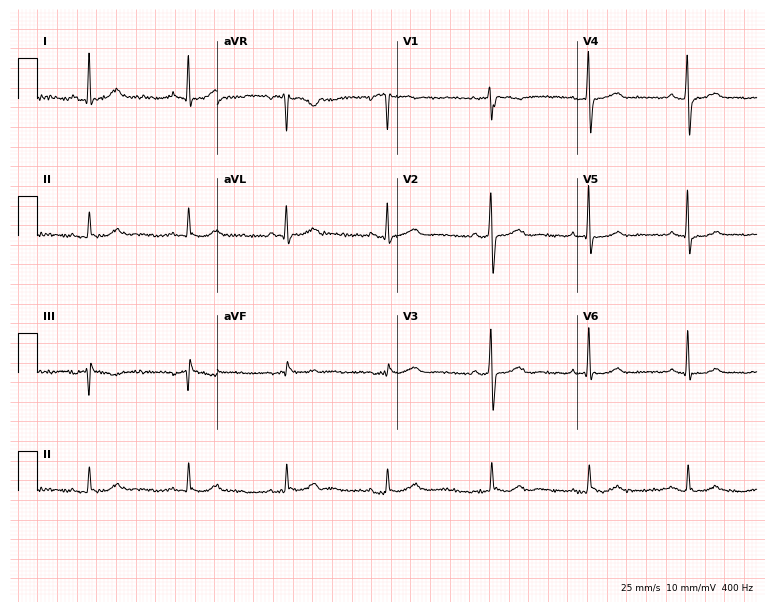
12-lead ECG from a man, 48 years old (7.3-second recording at 400 Hz). No first-degree AV block, right bundle branch block, left bundle branch block, sinus bradycardia, atrial fibrillation or sinus tachycardia recorded for this tracing. Other findings, if any, are not listed.